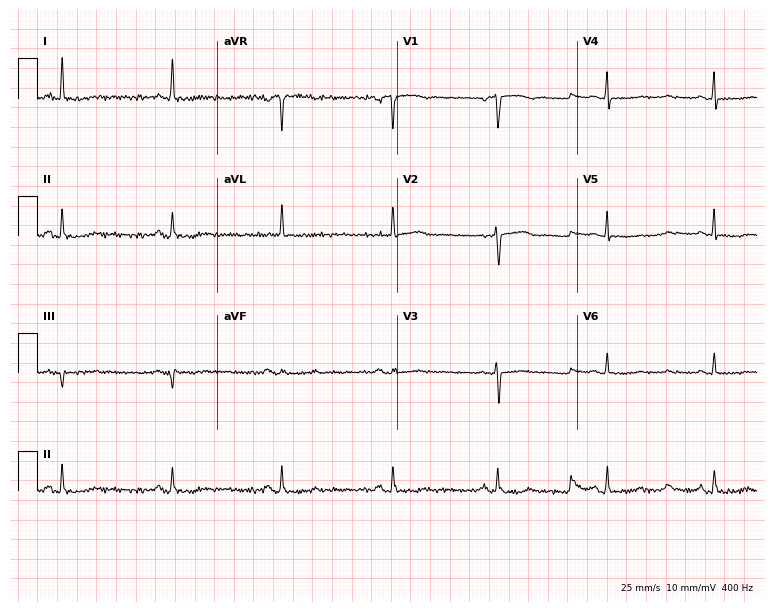
12-lead ECG from a woman, 55 years old (7.3-second recording at 400 Hz). No first-degree AV block, right bundle branch block, left bundle branch block, sinus bradycardia, atrial fibrillation or sinus tachycardia recorded for this tracing.